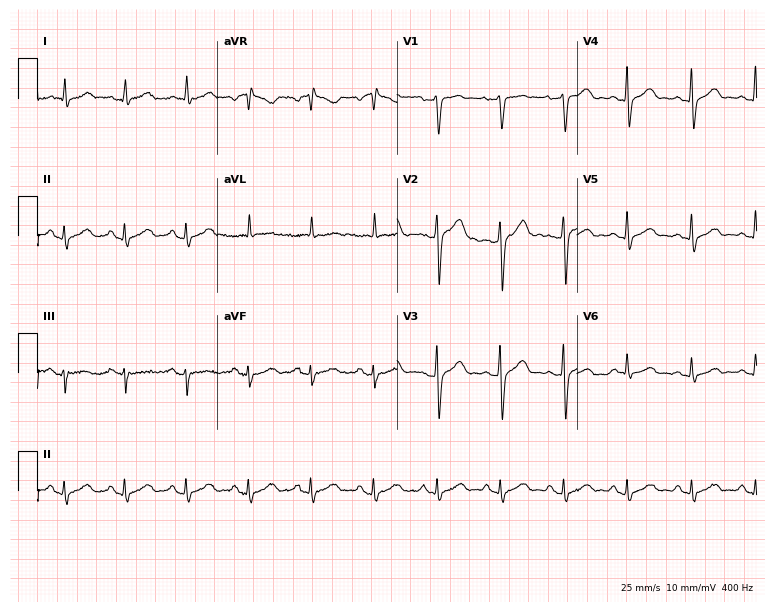
12-lead ECG (7.3-second recording at 400 Hz) from a male patient, 52 years old. Labelled as a normal ECG.